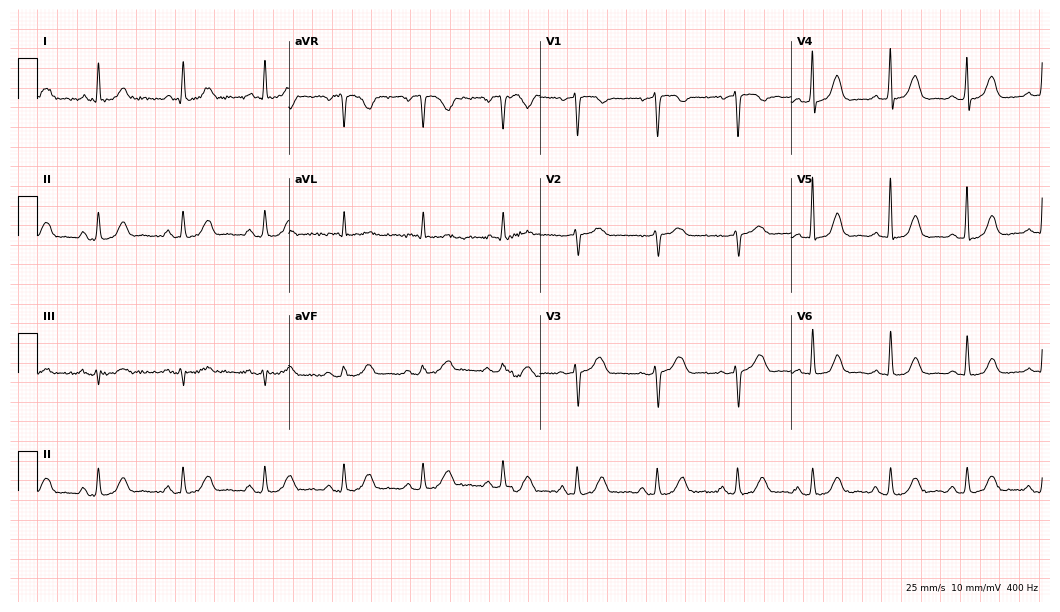
Electrocardiogram (10.2-second recording at 400 Hz), a 66-year-old female patient. Overall reading on record: normal ECG.